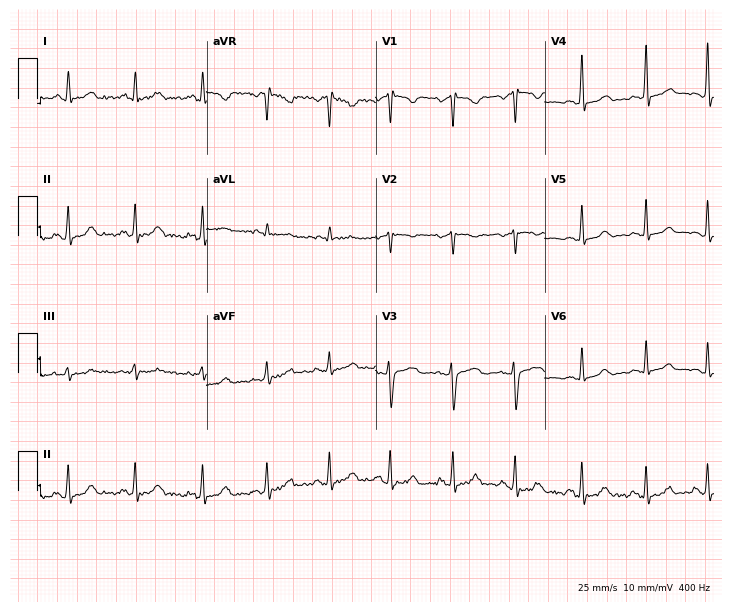
Standard 12-lead ECG recorded from a woman, 21 years old. Read as a normal ECG.